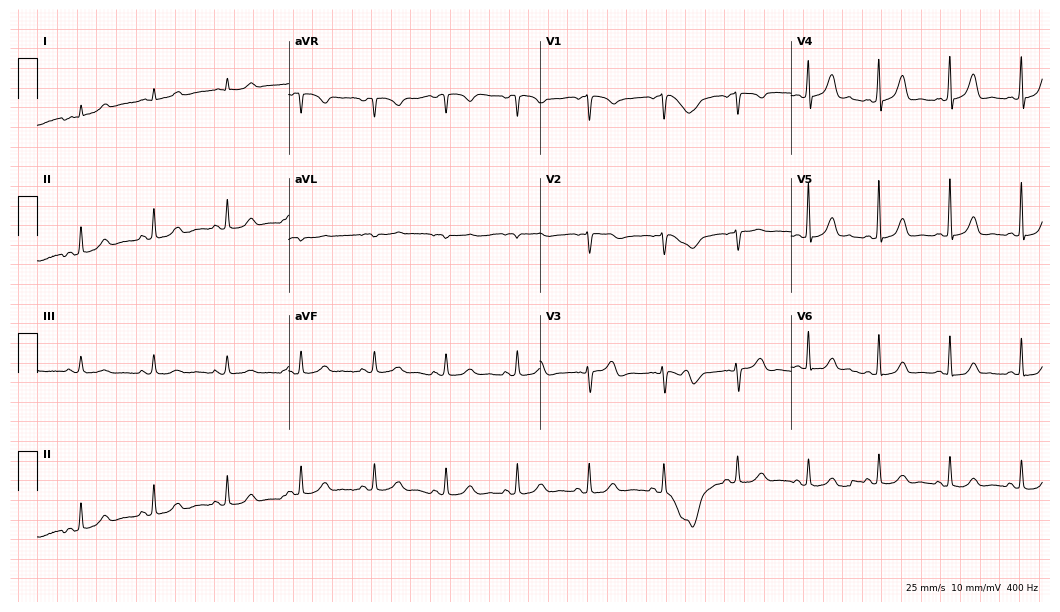
Electrocardiogram (10.2-second recording at 400 Hz), a woman, 53 years old. Overall reading on record: normal ECG.